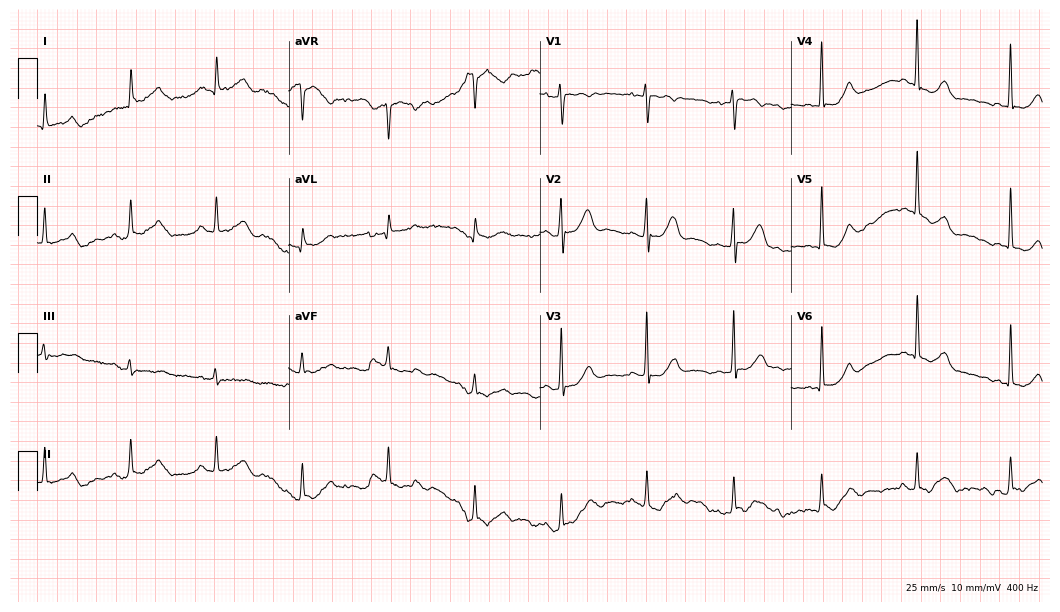
12-lead ECG from a female patient, 74 years old. Recorded interpretation: within normal limits.